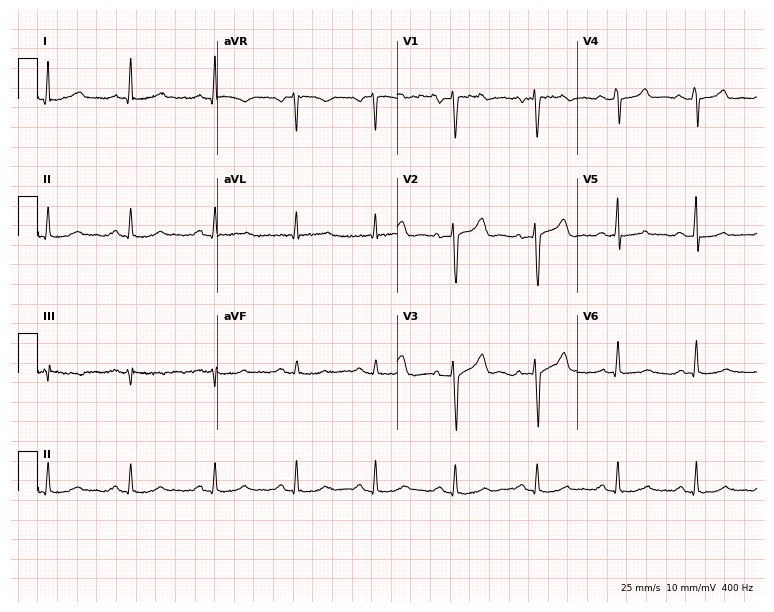
12-lead ECG from a 54-year-old male patient (7.3-second recording at 400 Hz). No first-degree AV block, right bundle branch block, left bundle branch block, sinus bradycardia, atrial fibrillation or sinus tachycardia recorded for this tracing. Findings outside these six are not listed.